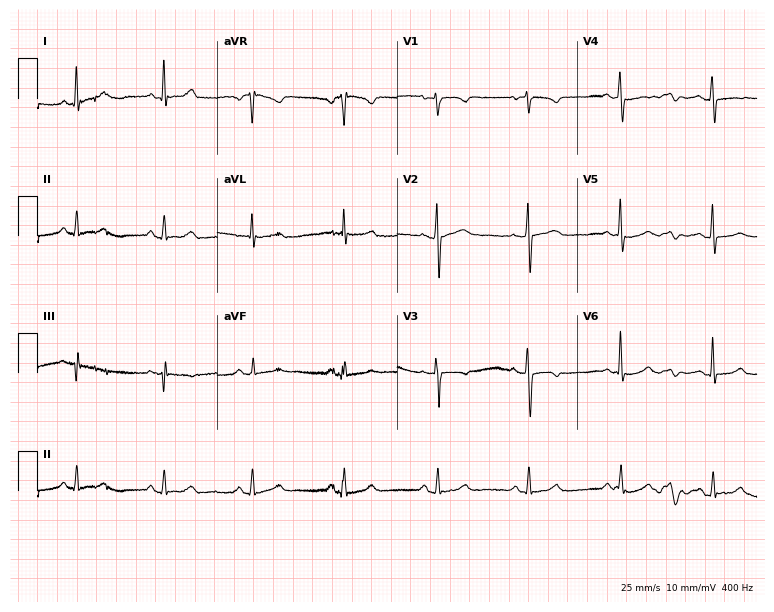
Electrocardiogram, a 63-year-old female. Of the six screened findings (first-degree AV block, right bundle branch block, left bundle branch block, sinus bradycardia, atrial fibrillation, sinus tachycardia), none is recorded.